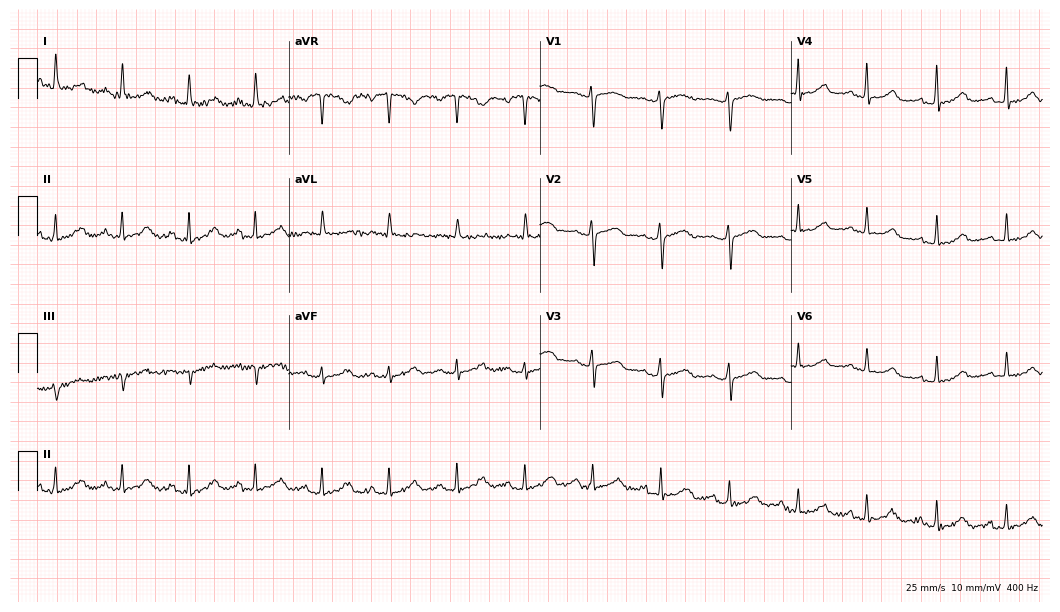
12-lead ECG from a female, 68 years old (10.2-second recording at 400 Hz). Recorded interpretation: within normal limits.